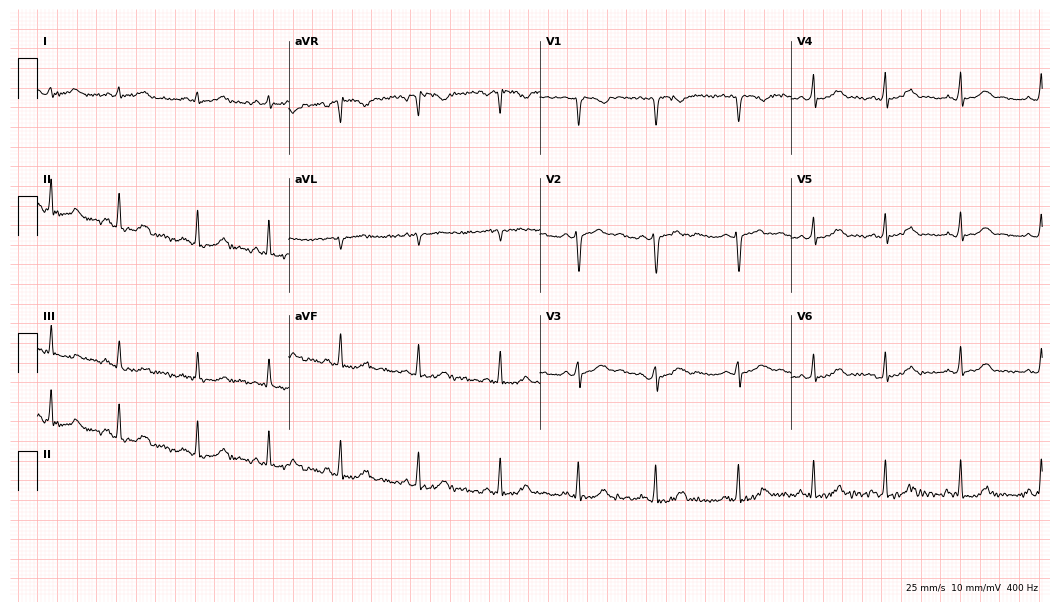
ECG — a 22-year-old woman. Screened for six findings — first-degree AV block, right bundle branch block (RBBB), left bundle branch block (LBBB), sinus bradycardia, atrial fibrillation (AF), sinus tachycardia — none is recorded.